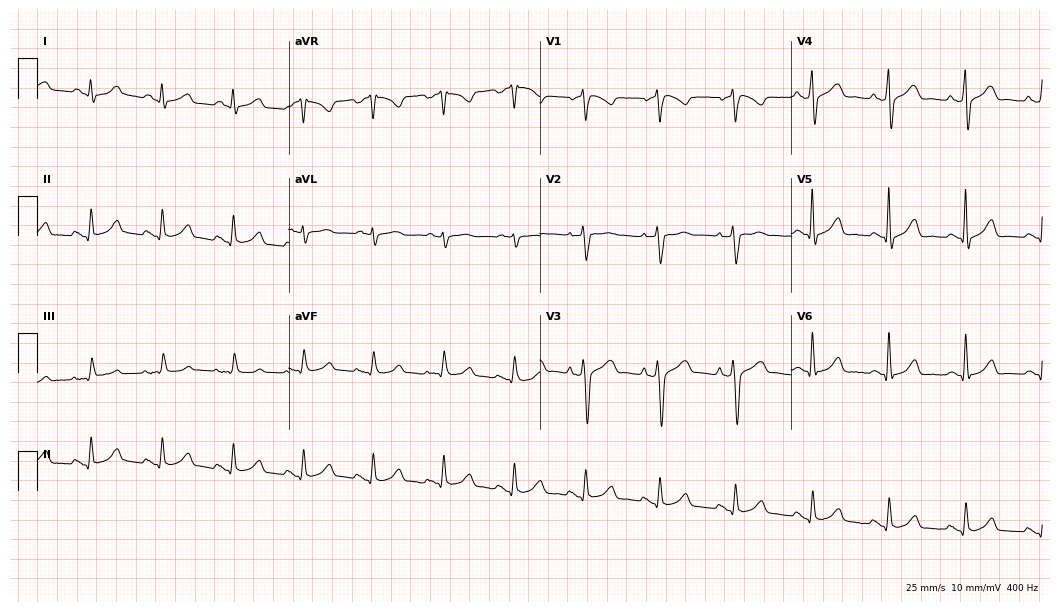
Resting 12-lead electrocardiogram (10.2-second recording at 400 Hz). Patient: a 49-year-old male. Read as a normal ECG.